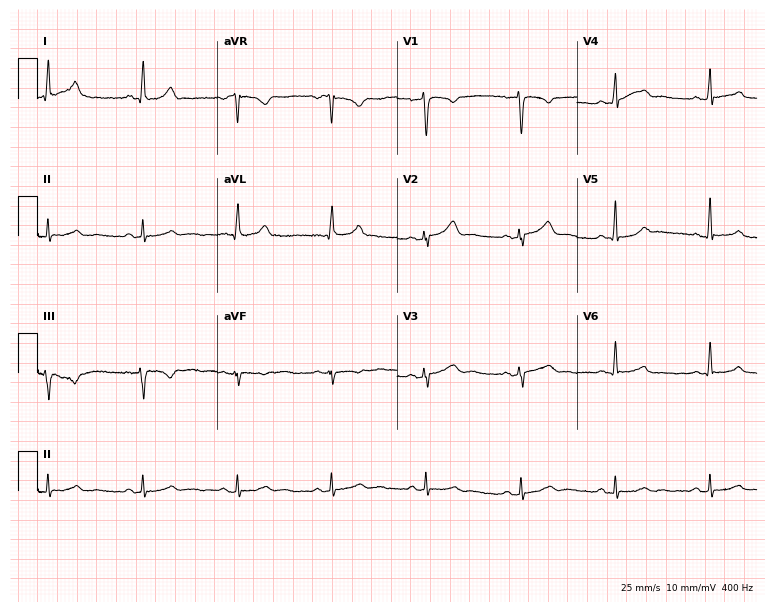
Standard 12-lead ECG recorded from a 34-year-old female (7.3-second recording at 400 Hz). Read as a normal ECG.